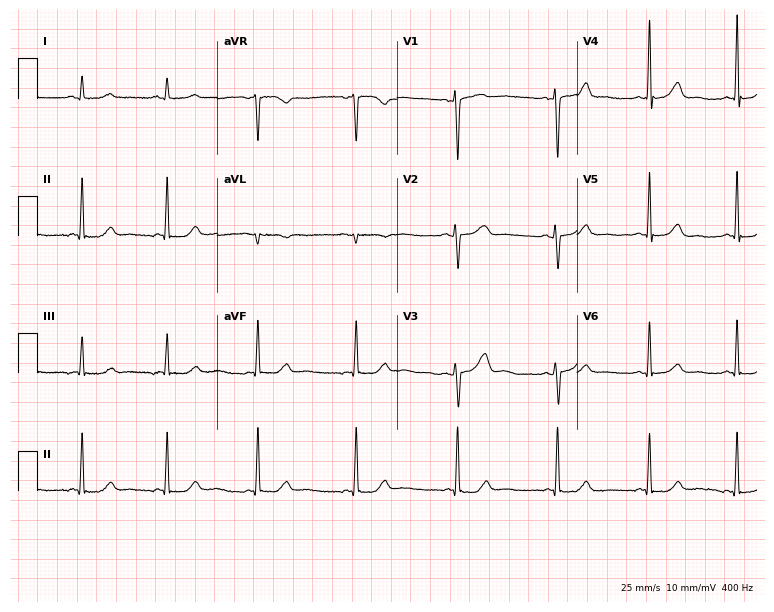
ECG (7.3-second recording at 400 Hz) — a woman, 44 years old. Labelled as a normal ECG.